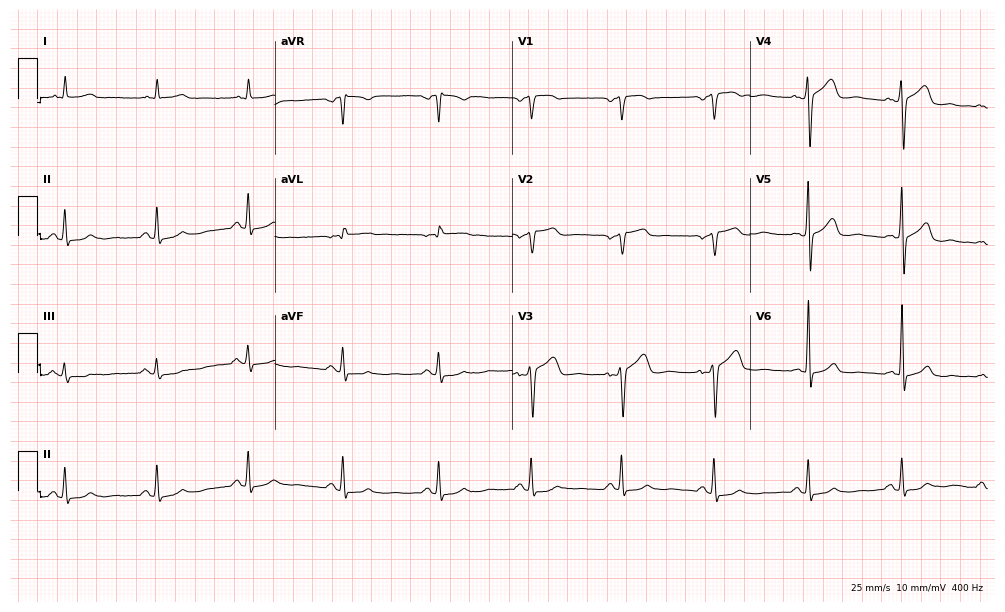
12-lead ECG from a 57-year-old man (9.7-second recording at 400 Hz). Recorded interpretation: within normal limits.